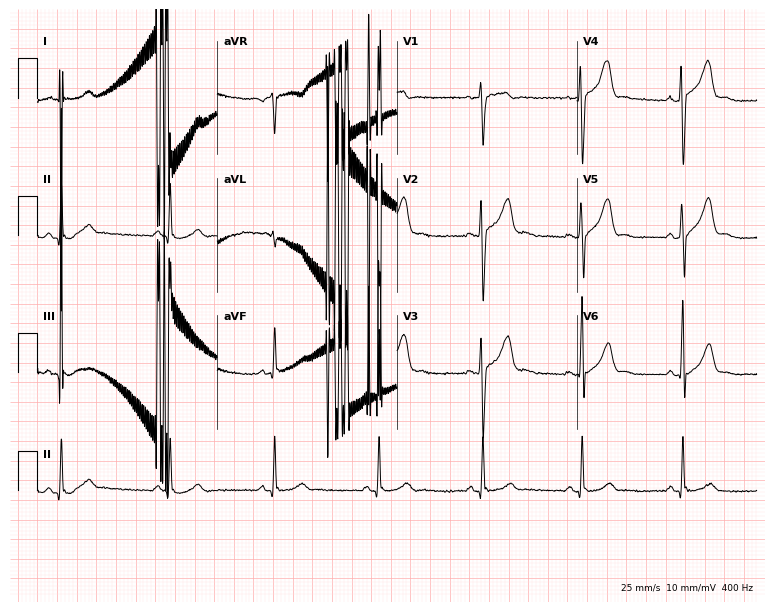
Resting 12-lead electrocardiogram (7.3-second recording at 400 Hz). Patient: a male, 39 years old. None of these six findings is recorded: first-degree AV block, right bundle branch block, left bundle branch block, sinus bradycardia, atrial fibrillation, sinus tachycardia. Only these six findings were labelled.